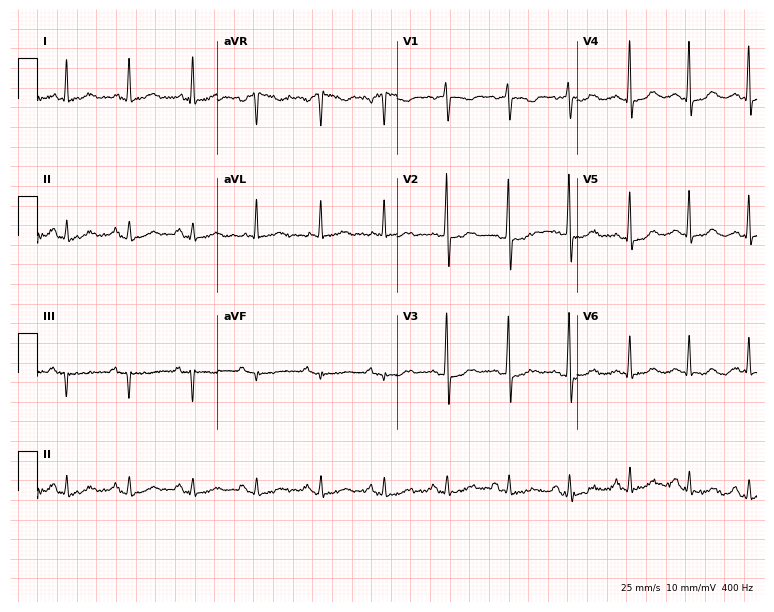
ECG — a female patient, 73 years old. Labelled as a normal ECG.